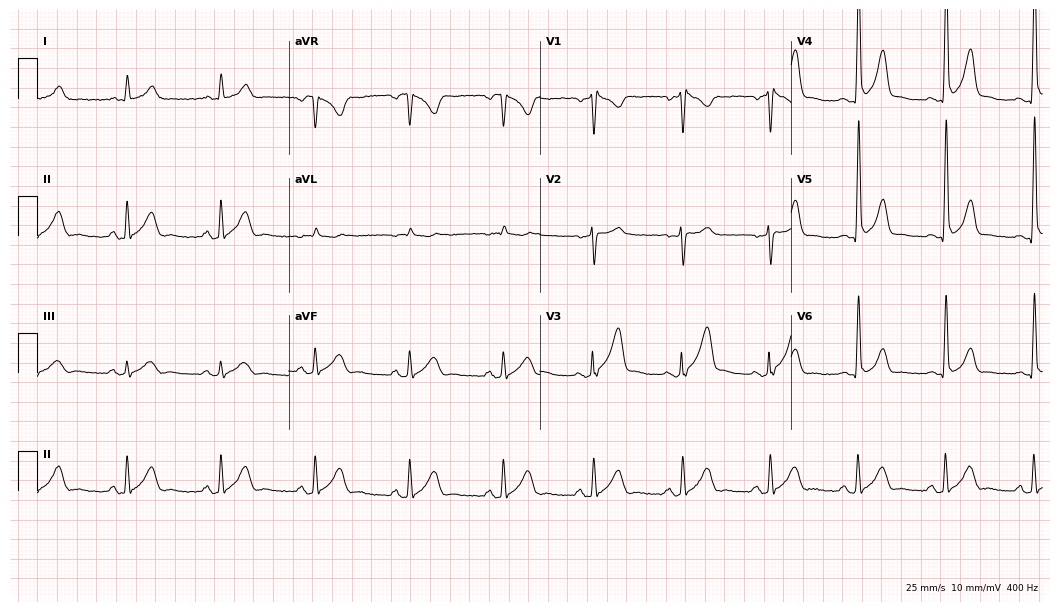
Electrocardiogram, a 41-year-old male. Of the six screened findings (first-degree AV block, right bundle branch block, left bundle branch block, sinus bradycardia, atrial fibrillation, sinus tachycardia), none is recorded. Only these six findings were labelled.